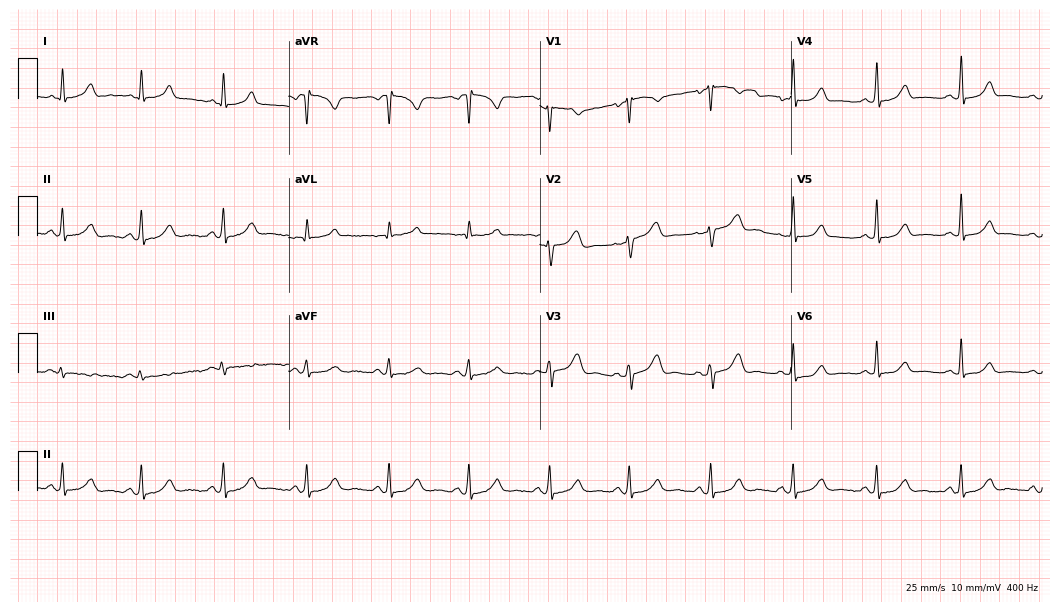
ECG — a woman, 52 years old. Labelled as a normal ECG.